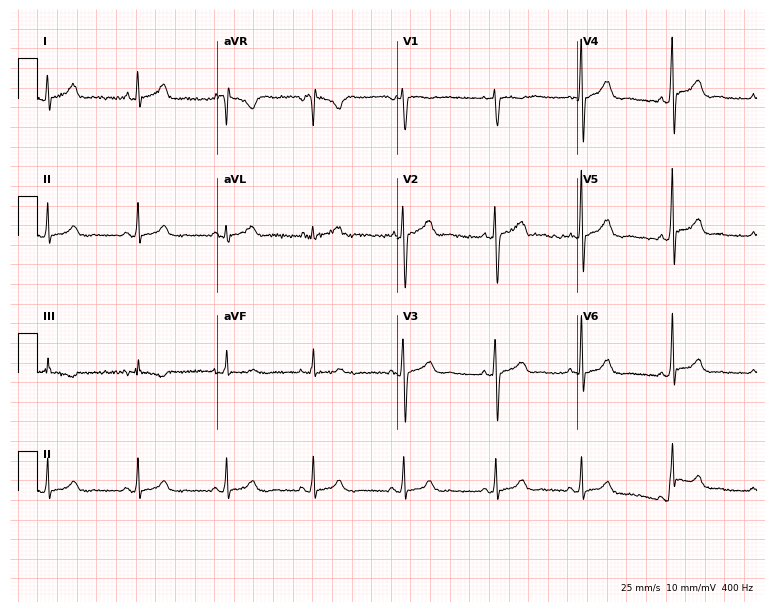
Electrocardiogram, a 31-year-old female patient. Overall reading on record: normal ECG.